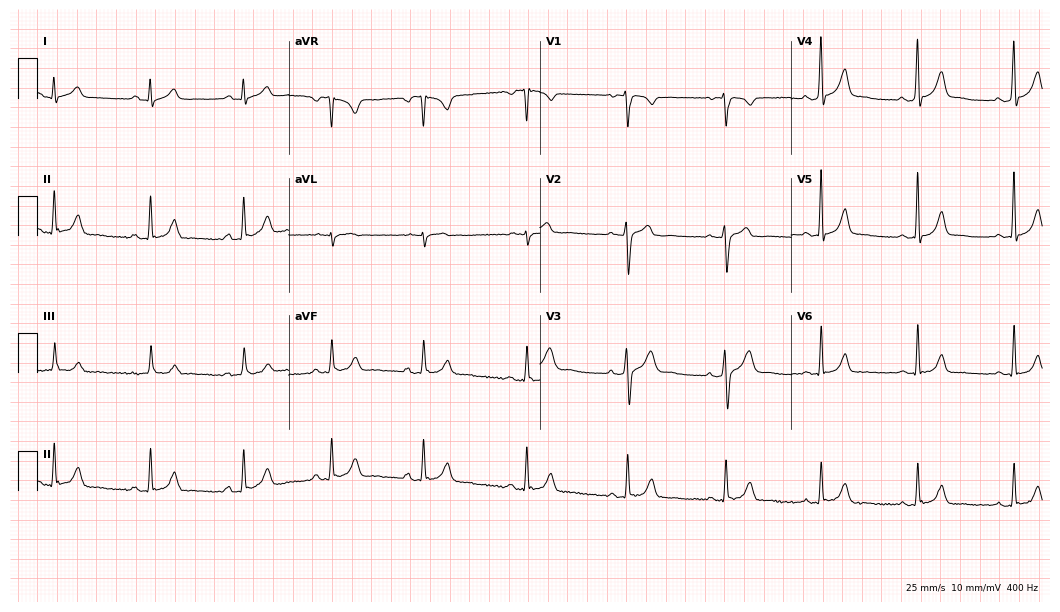
Standard 12-lead ECG recorded from a male, 26 years old (10.2-second recording at 400 Hz). Read as a normal ECG.